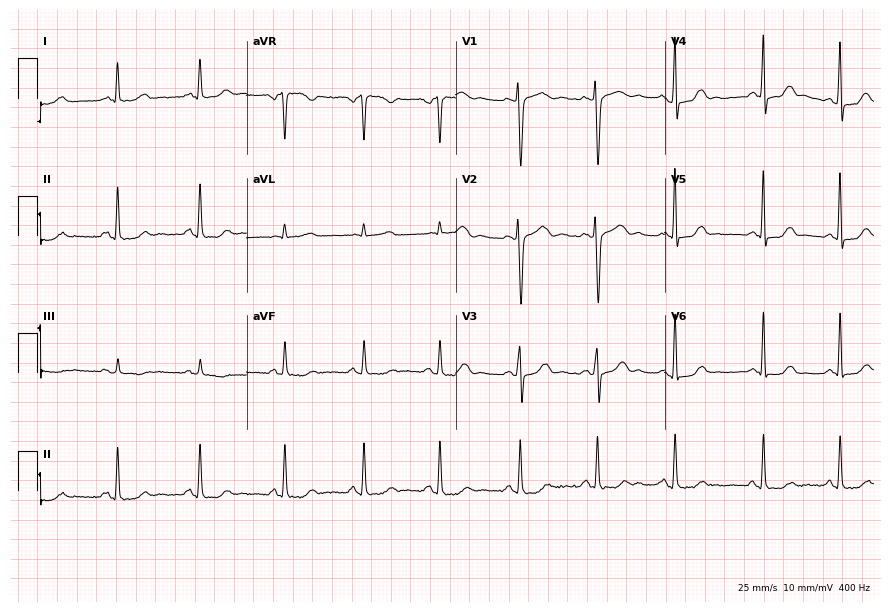
12-lead ECG (8.5-second recording at 400 Hz) from a female, 32 years old. Labelled as a normal ECG.